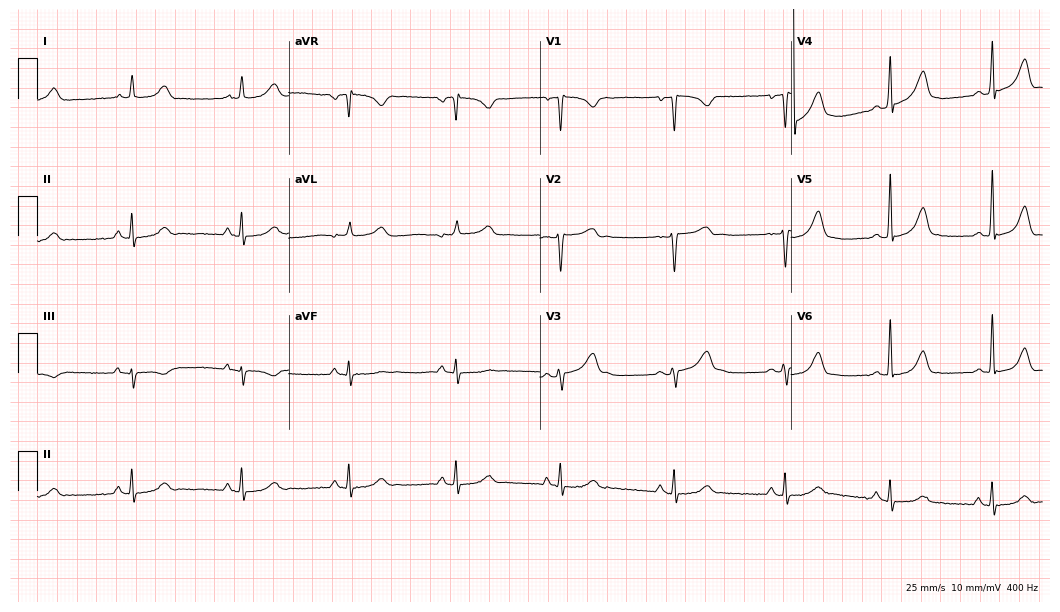
Electrocardiogram (10.2-second recording at 400 Hz), a female patient, 33 years old. Of the six screened findings (first-degree AV block, right bundle branch block (RBBB), left bundle branch block (LBBB), sinus bradycardia, atrial fibrillation (AF), sinus tachycardia), none is recorded.